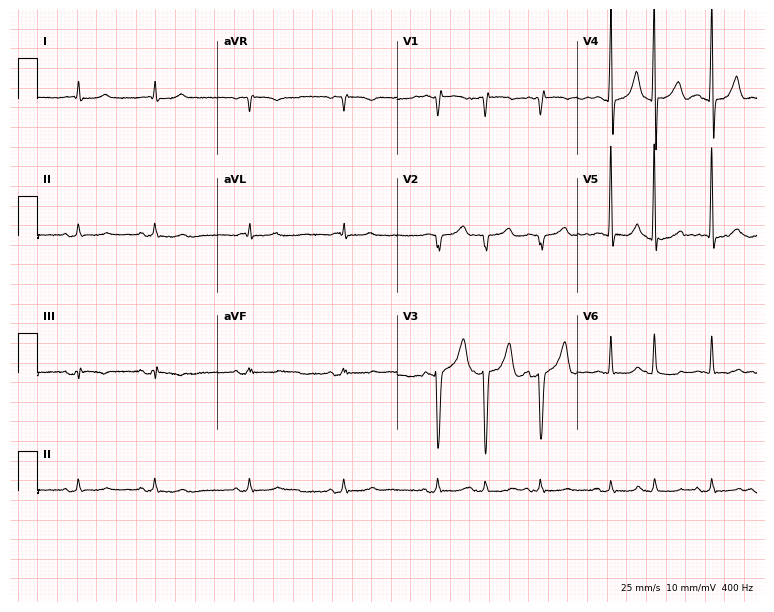
ECG (7.3-second recording at 400 Hz) — a 60-year-old man. Screened for six findings — first-degree AV block, right bundle branch block, left bundle branch block, sinus bradycardia, atrial fibrillation, sinus tachycardia — none is recorded.